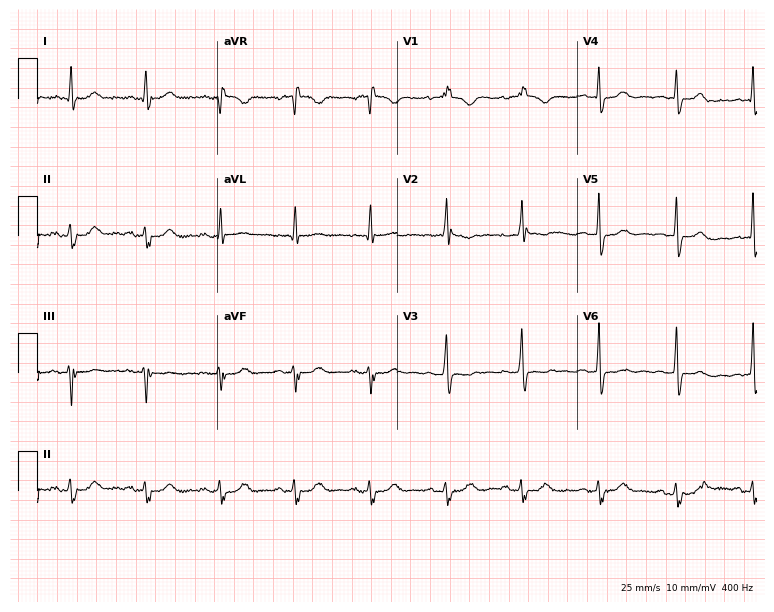
ECG (7.3-second recording at 400 Hz) — a female, 57 years old. Screened for six findings — first-degree AV block, right bundle branch block, left bundle branch block, sinus bradycardia, atrial fibrillation, sinus tachycardia — none is recorded. Only these six findings were labelled.